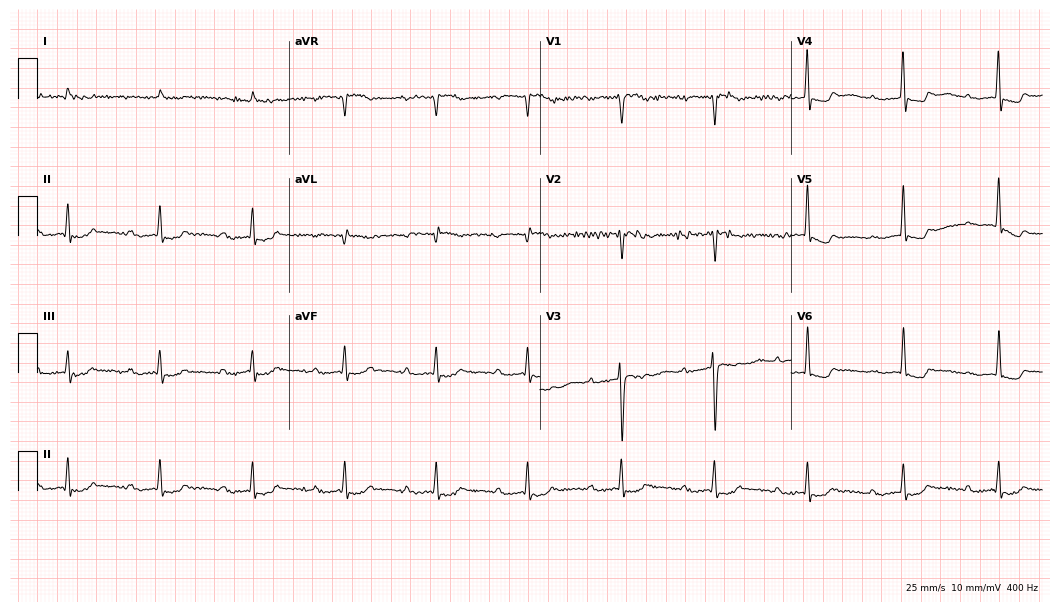
Standard 12-lead ECG recorded from a male patient, 84 years old (10.2-second recording at 400 Hz). None of these six findings is recorded: first-degree AV block, right bundle branch block, left bundle branch block, sinus bradycardia, atrial fibrillation, sinus tachycardia. Other findings, if any, are not listed.